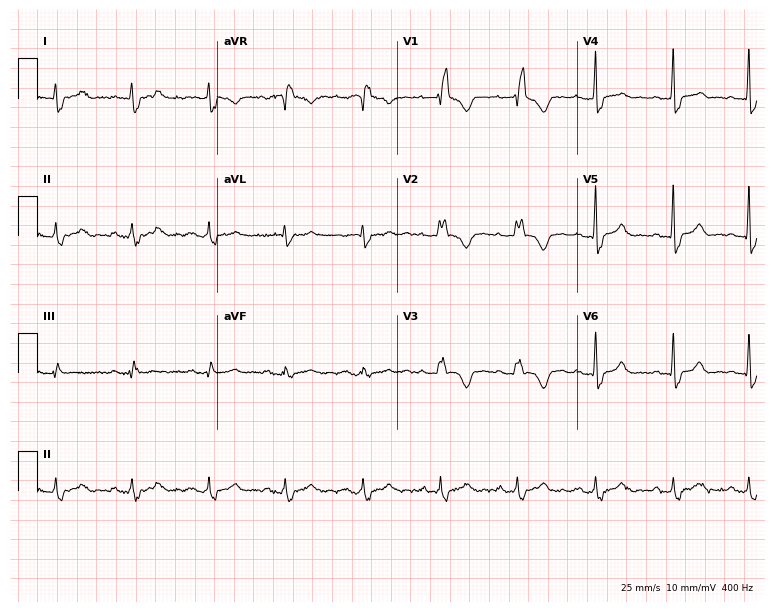
Electrocardiogram (7.3-second recording at 400 Hz), a female, 32 years old. Interpretation includes right bundle branch block.